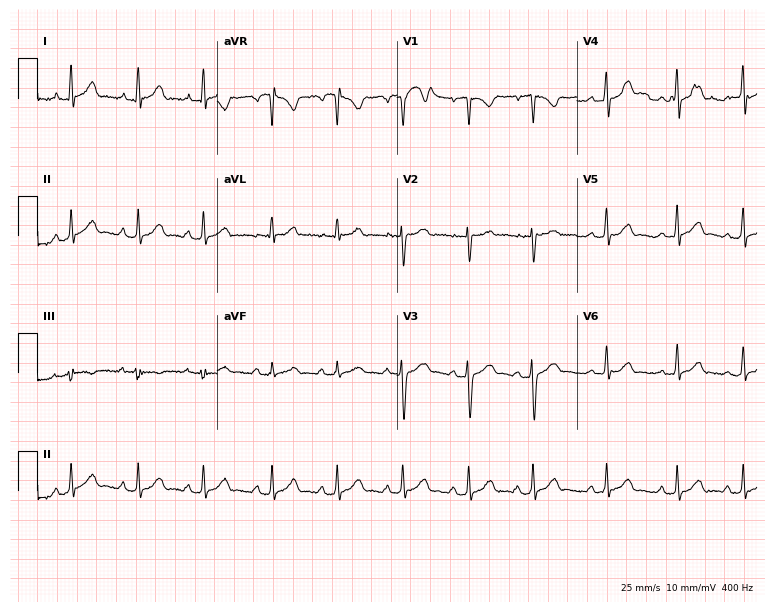
Standard 12-lead ECG recorded from a female, 19 years old (7.3-second recording at 400 Hz). Read as a normal ECG.